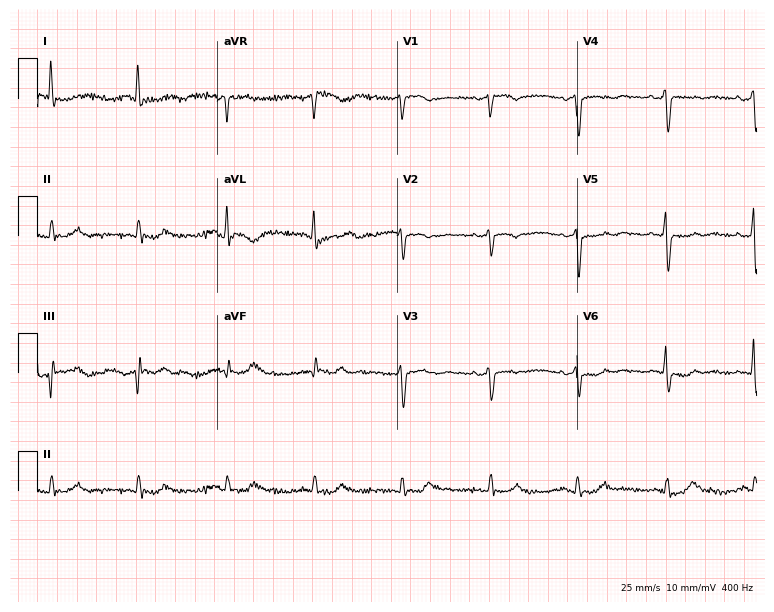
ECG (7.3-second recording at 400 Hz) — an 83-year-old woman. Screened for six findings — first-degree AV block, right bundle branch block, left bundle branch block, sinus bradycardia, atrial fibrillation, sinus tachycardia — none is recorded. Other findings, if any, are not listed.